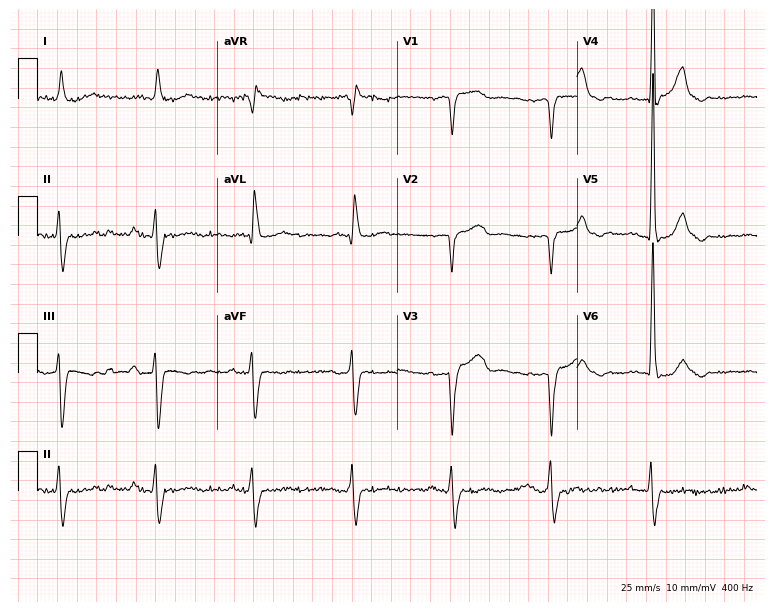
12-lead ECG from an 81-year-old male patient. No first-degree AV block, right bundle branch block, left bundle branch block, sinus bradycardia, atrial fibrillation or sinus tachycardia recorded for this tracing.